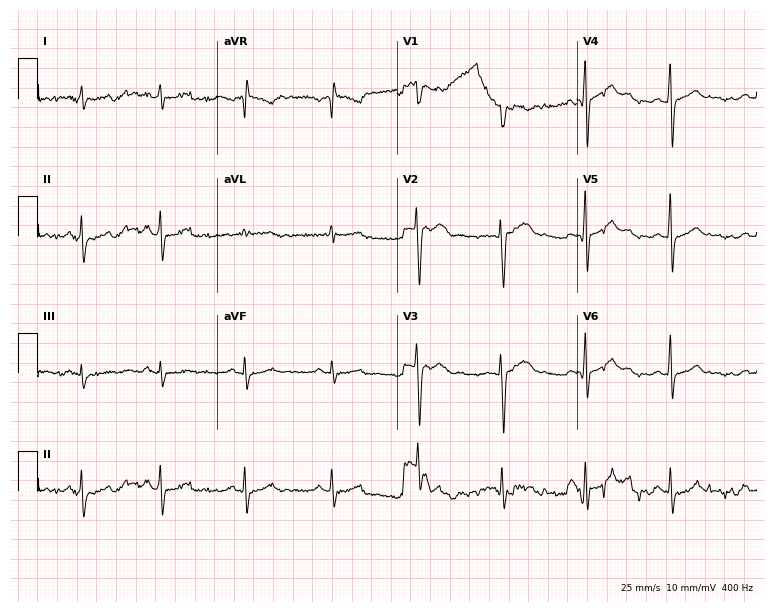
12-lead ECG from a 30-year-old male patient. Recorded interpretation: within normal limits.